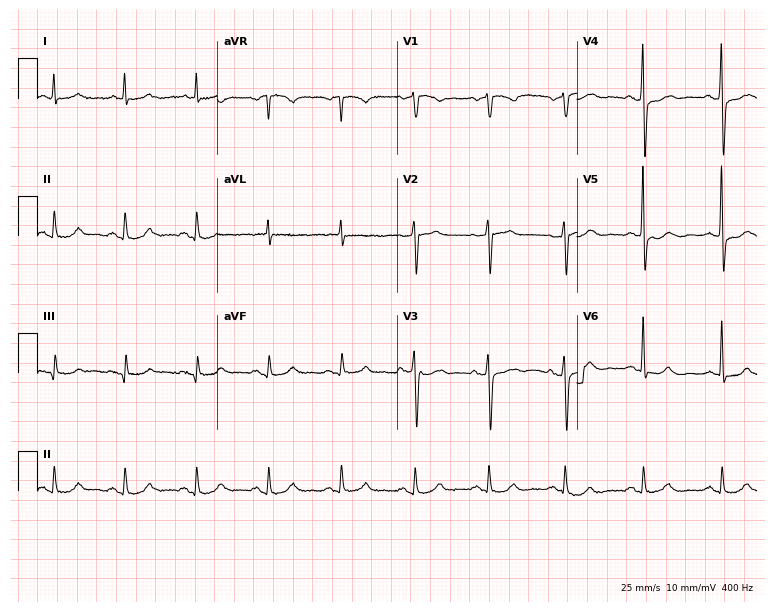
Standard 12-lead ECG recorded from a 69-year-old male patient. Read as a normal ECG.